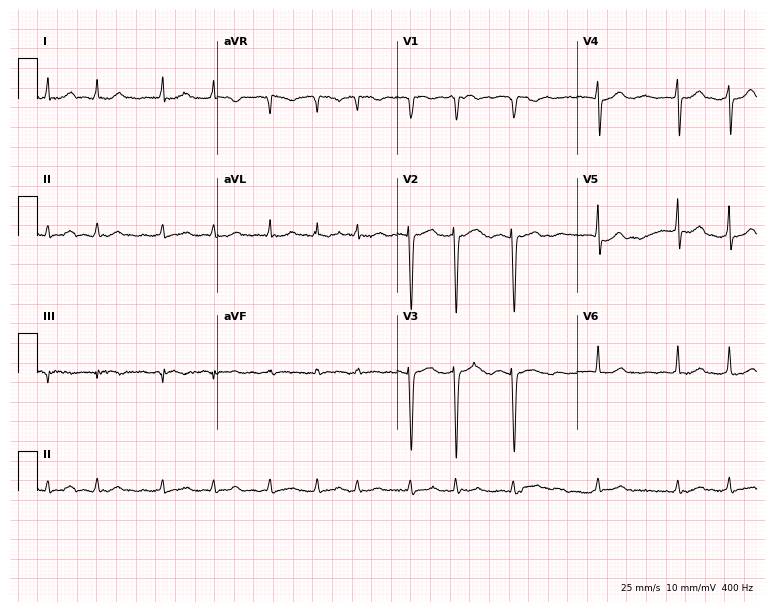
Resting 12-lead electrocardiogram (7.3-second recording at 400 Hz). Patient: a 77-year-old female. The tracing shows atrial fibrillation (AF).